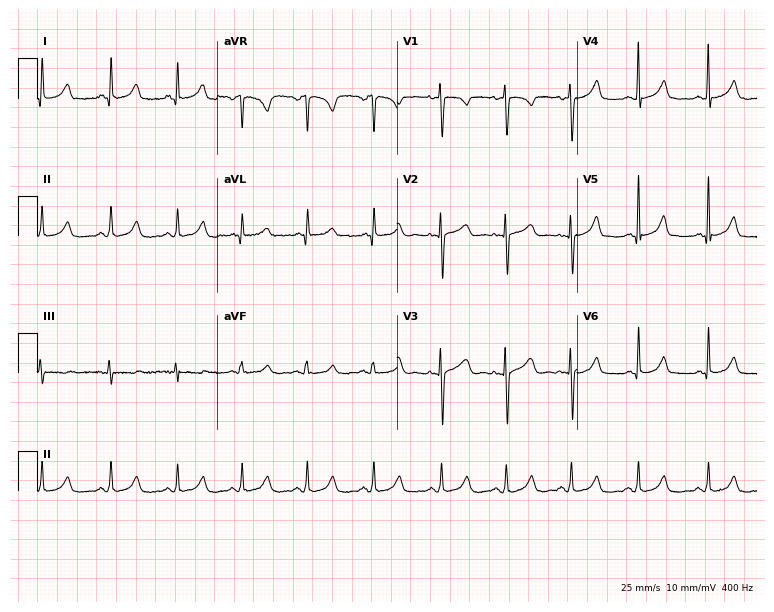
ECG (7.3-second recording at 400 Hz) — a female, 34 years old. Labelled as a normal ECG.